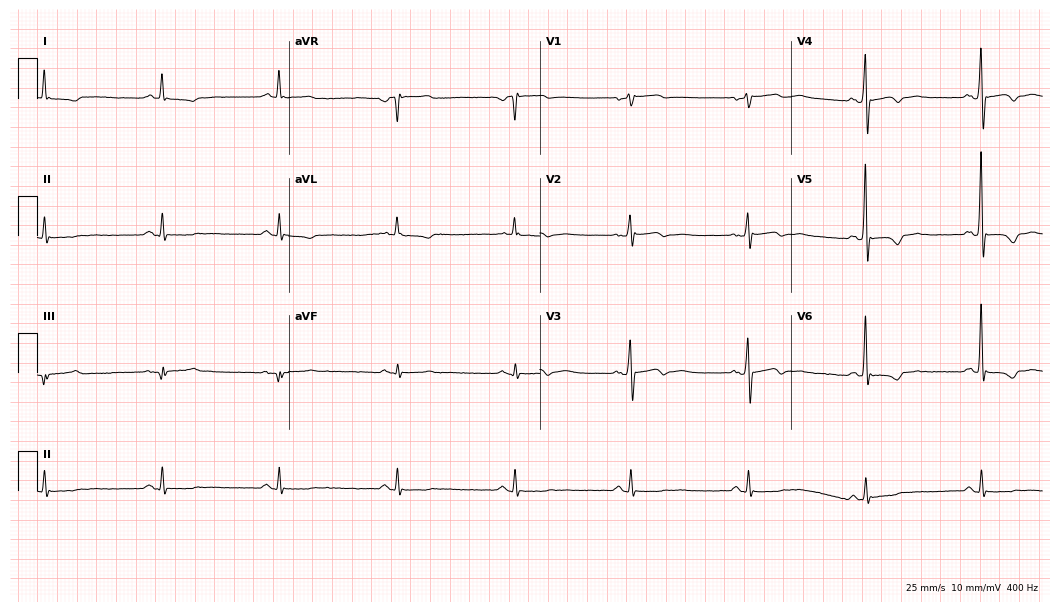
12-lead ECG from a male, 62 years old. No first-degree AV block, right bundle branch block (RBBB), left bundle branch block (LBBB), sinus bradycardia, atrial fibrillation (AF) or sinus tachycardia recorded for this tracing. Other findings, if any, are not listed.